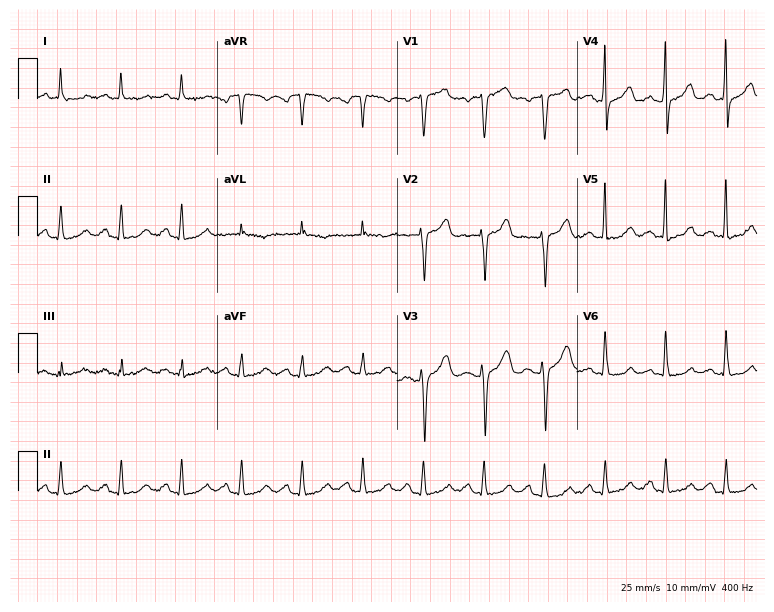
12-lead ECG from a 50-year-old female patient. Recorded interpretation: within normal limits.